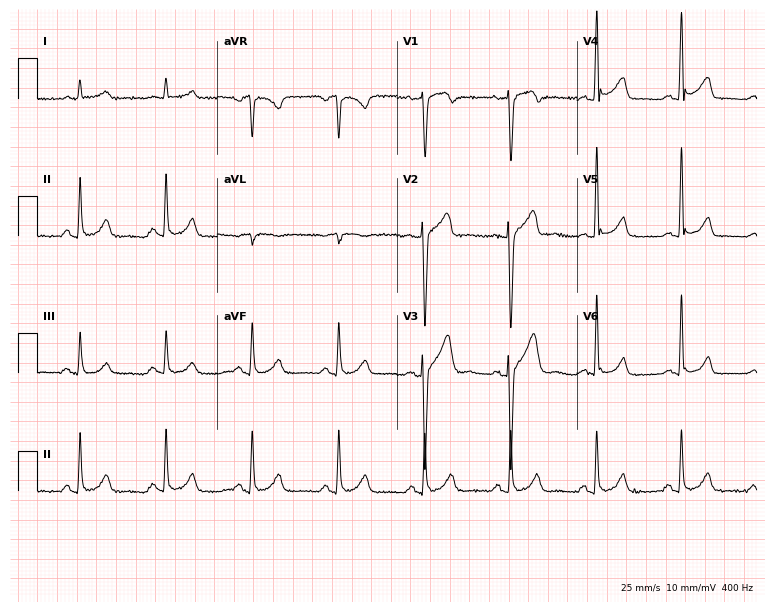
ECG (7.3-second recording at 400 Hz) — a 63-year-old male. Labelled as a normal ECG.